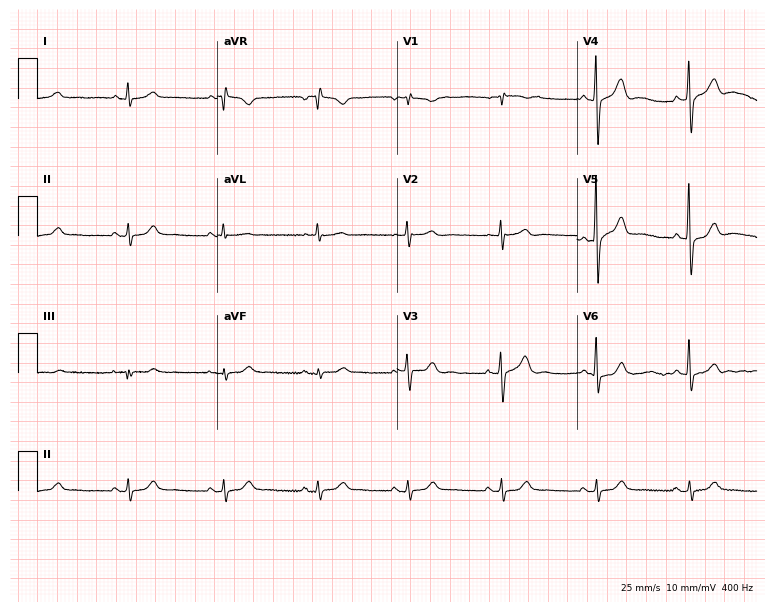
12-lead ECG from a male, 73 years old. No first-degree AV block, right bundle branch block, left bundle branch block, sinus bradycardia, atrial fibrillation or sinus tachycardia recorded for this tracing. Findings outside these six are not listed.